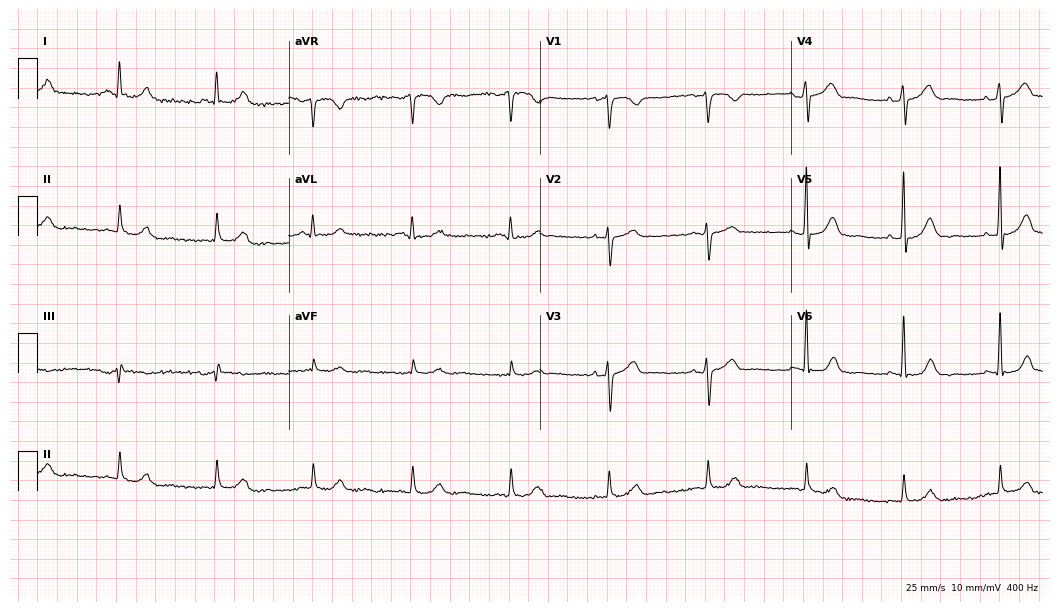
Standard 12-lead ECG recorded from a 65-year-old man (10.2-second recording at 400 Hz). Read as a normal ECG.